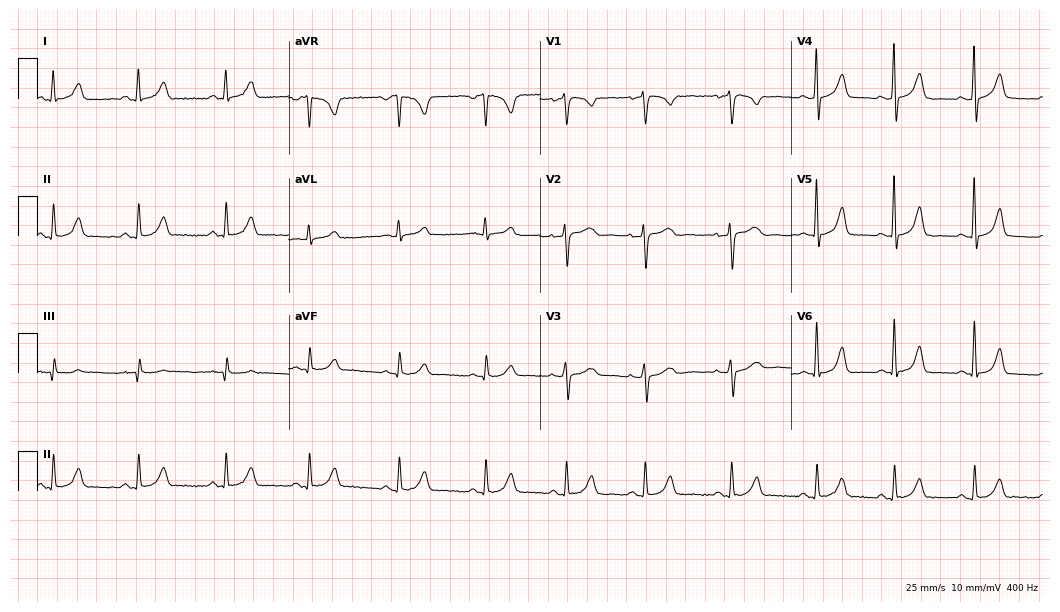
Electrocardiogram, a 29-year-old female patient. Overall reading on record: normal ECG.